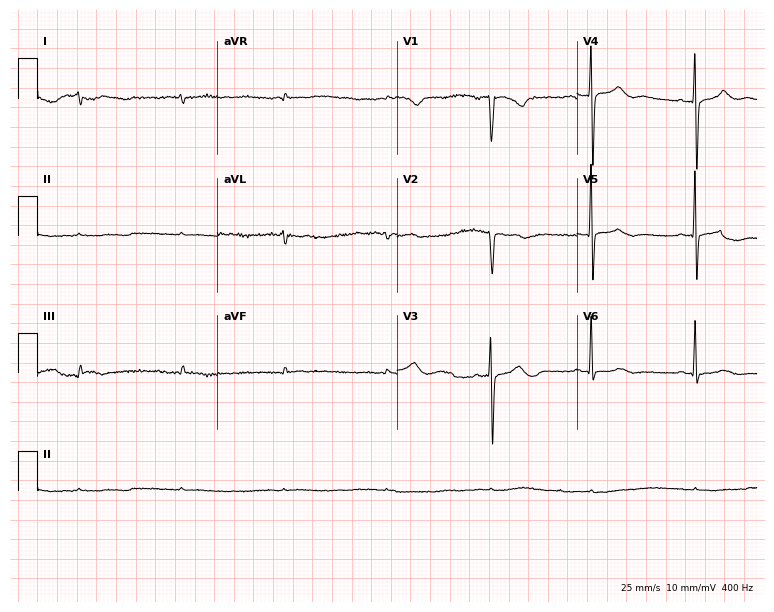
Resting 12-lead electrocardiogram. Patient: an 83-year-old woman. None of these six findings is recorded: first-degree AV block, right bundle branch block (RBBB), left bundle branch block (LBBB), sinus bradycardia, atrial fibrillation (AF), sinus tachycardia.